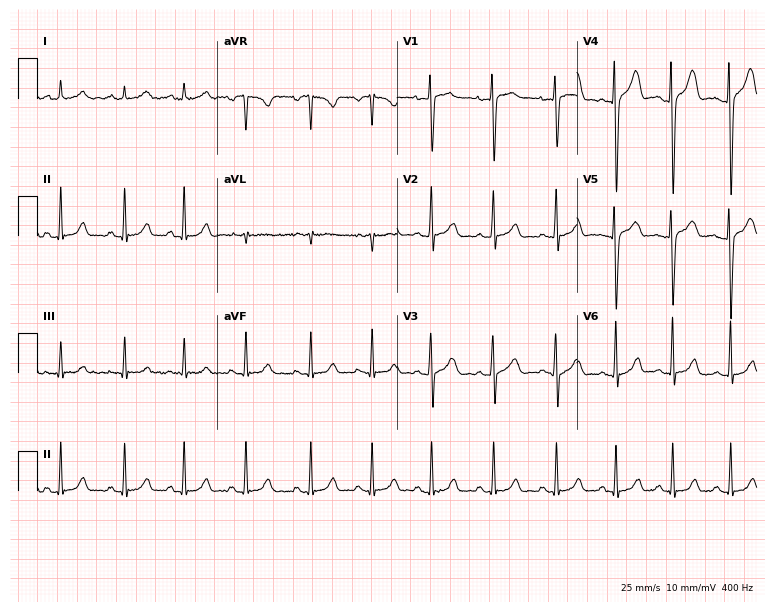
Resting 12-lead electrocardiogram (7.3-second recording at 400 Hz). Patient: a female, 19 years old. Read as a normal ECG.